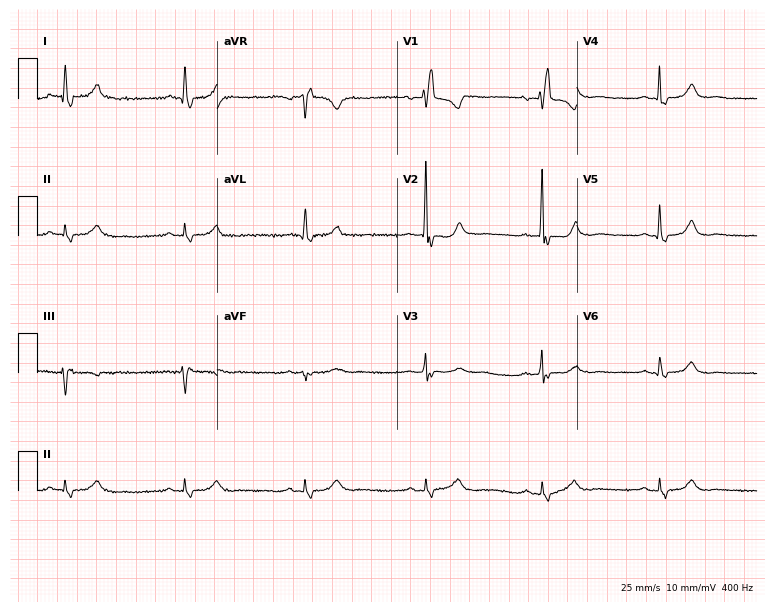
ECG (7.3-second recording at 400 Hz) — a female patient, 80 years old. Findings include right bundle branch block (RBBB).